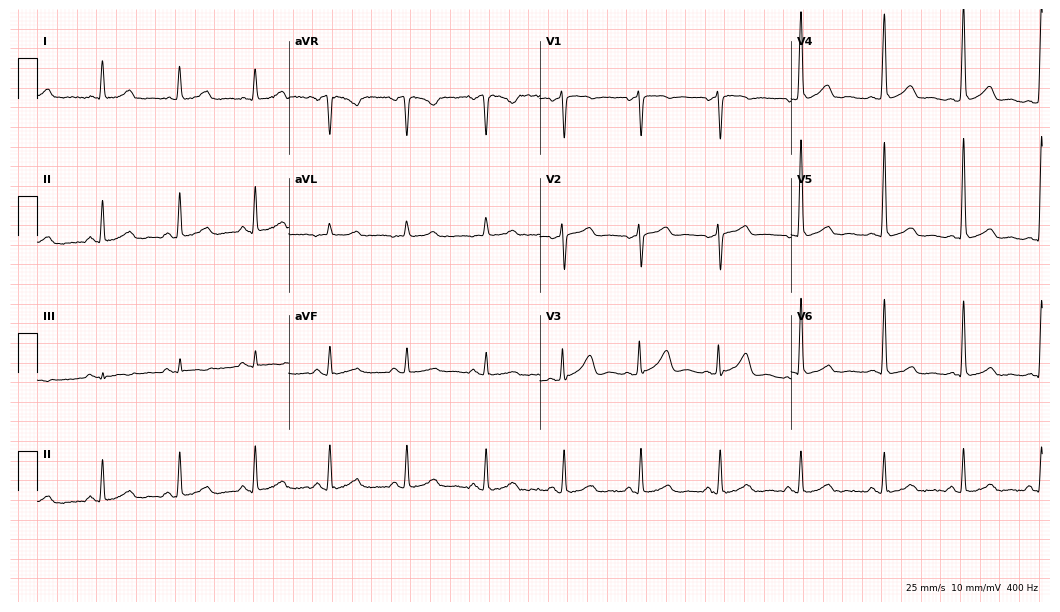
Electrocardiogram, a 49-year-old female. Overall reading on record: normal ECG.